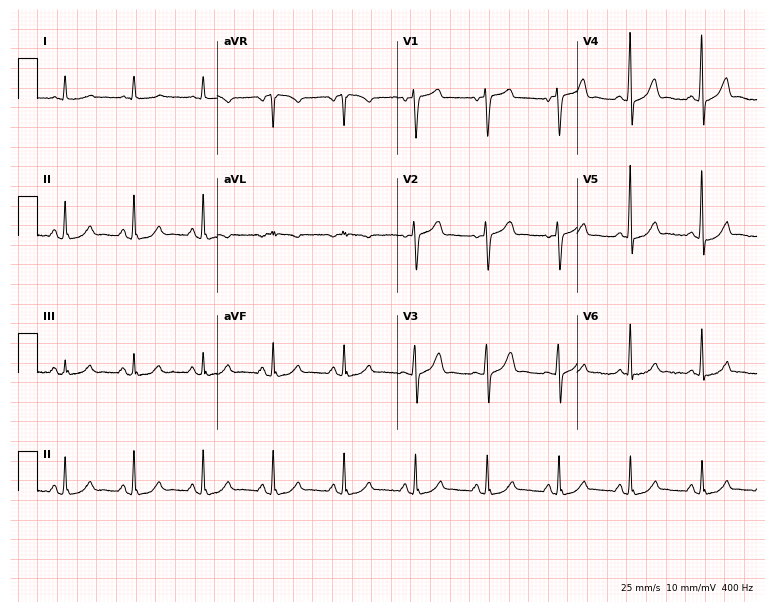
Resting 12-lead electrocardiogram (7.3-second recording at 400 Hz). Patient: a 20-year-old male. None of these six findings is recorded: first-degree AV block, right bundle branch block (RBBB), left bundle branch block (LBBB), sinus bradycardia, atrial fibrillation (AF), sinus tachycardia.